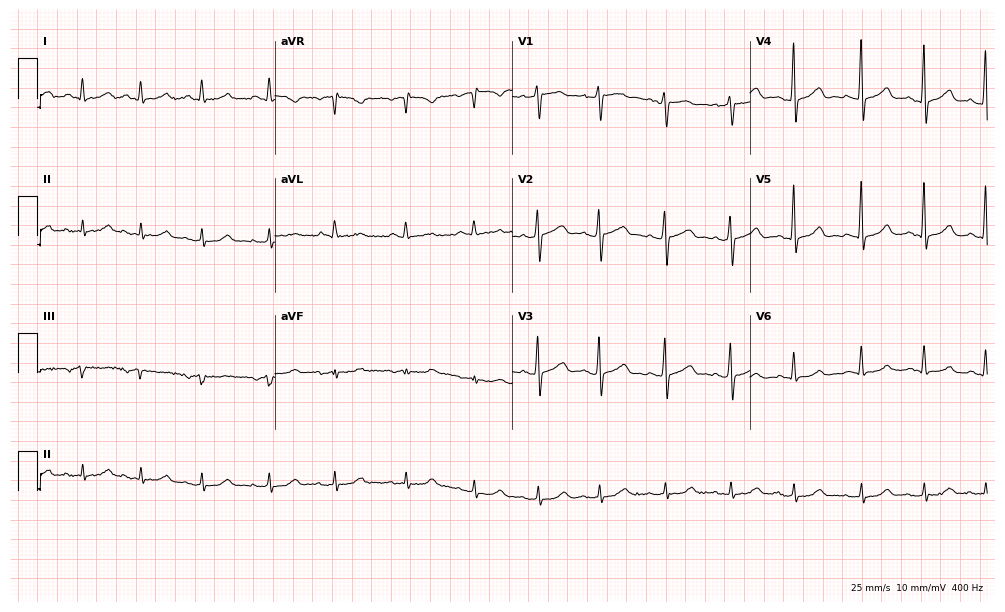
12-lead ECG from a male, 71 years old. Labelled as a normal ECG.